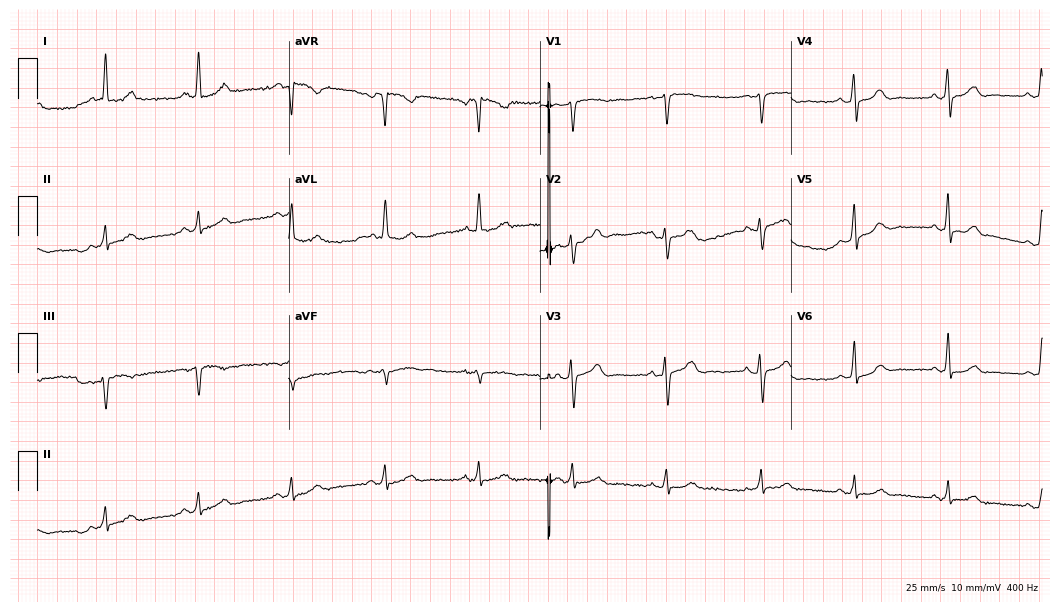
Resting 12-lead electrocardiogram (10.2-second recording at 400 Hz). Patient: a 55-year-old male. Read as a normal ECG.